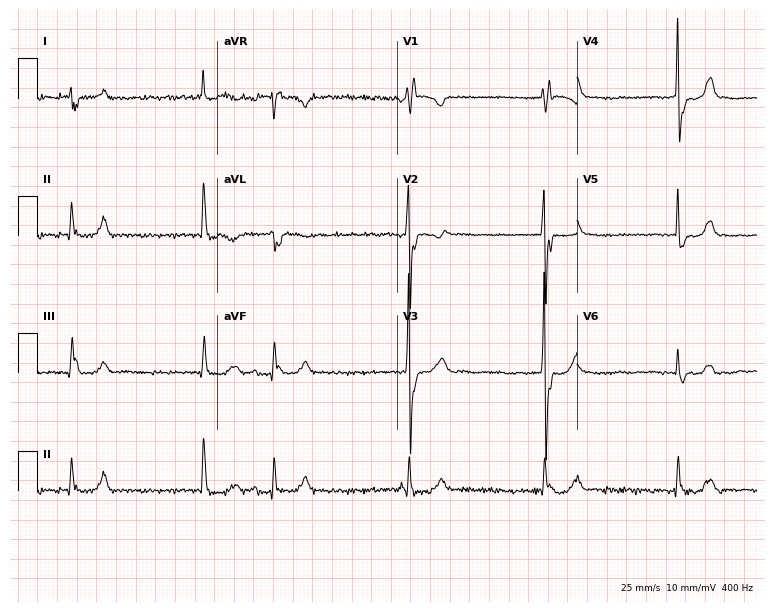
12-lead ECG from a 78-year-old female (7.3-second recording at 400 Hz). No first-degree AV block, right bundle branch block, left bundle branch block, sinus bradycardia, atrial fibrillation or sinus tachycardia recorded for this tracing.